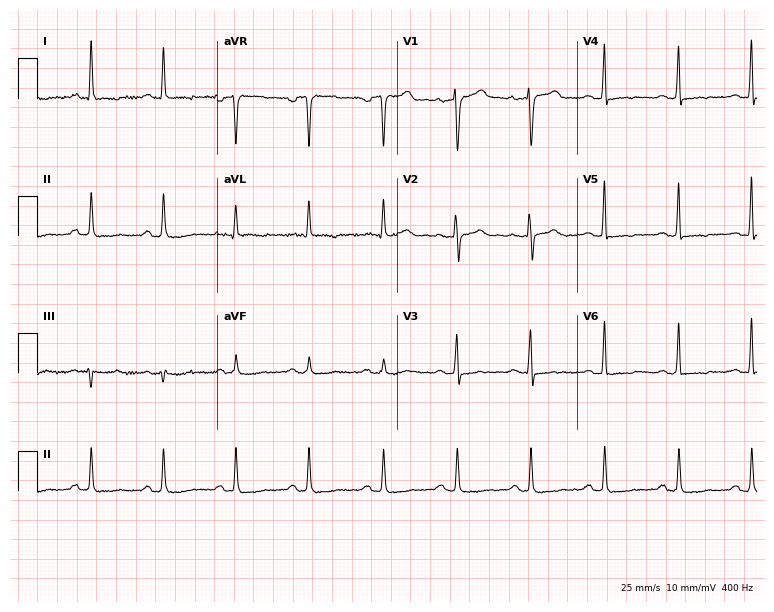
Standard 12-lead ECG recorded from a male, 55 years old. None of these six findings is recorded: first-degree AV block, right bundle branch block (RBBB), left bundle branch block (LBBB), sinus bradycardia, atrial fibrillation (AF), sinus tachycardia. Only these six findings were labelled.